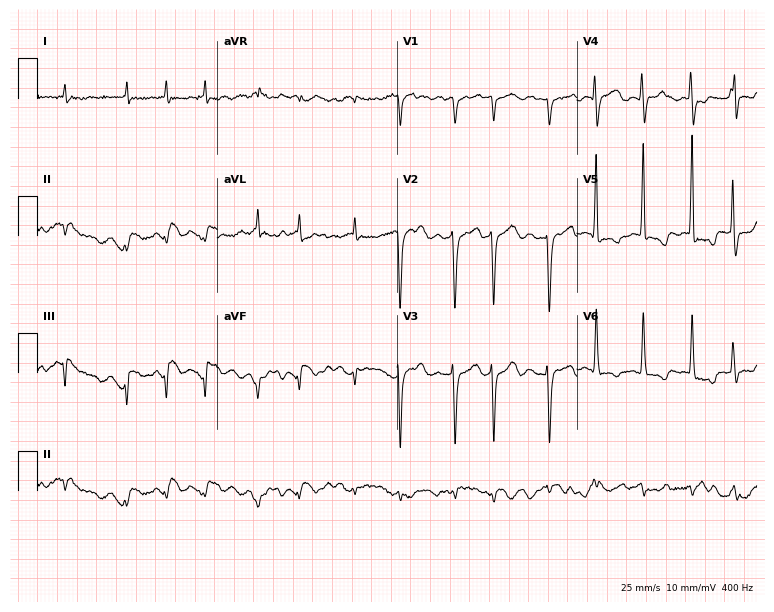
ECG — a female patient, 85 years old. Findings include atrial fibrillation.